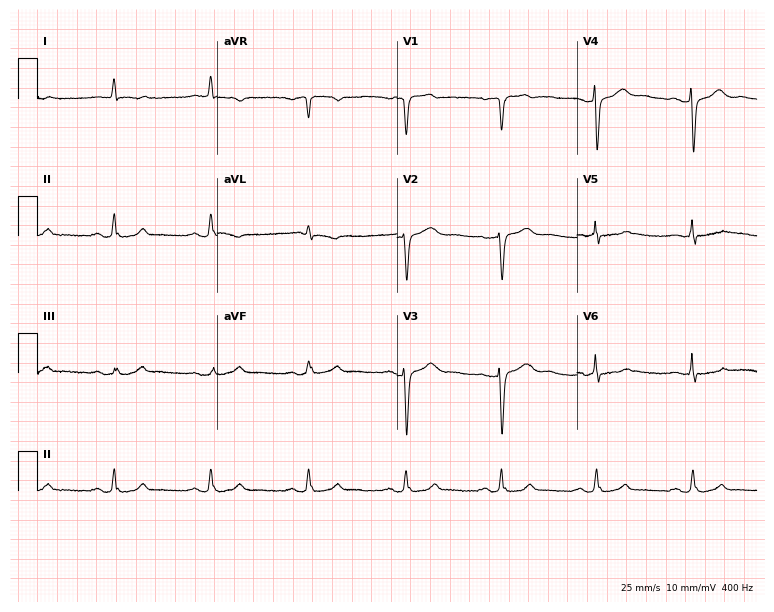
12-lead ECG (7.3-second recording at 400 Hz) from a 73-year-old man. Labelled as a normal ECG.